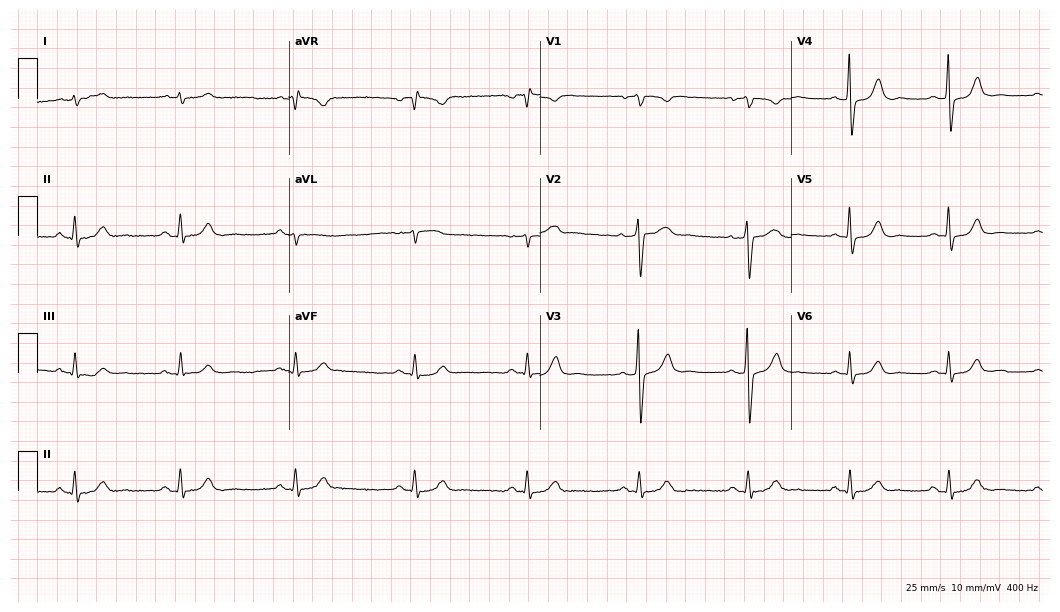
ECG (10.2-second recording at 400 Hz) — a 57-year-old male patient. Labelled as a normal ECG.